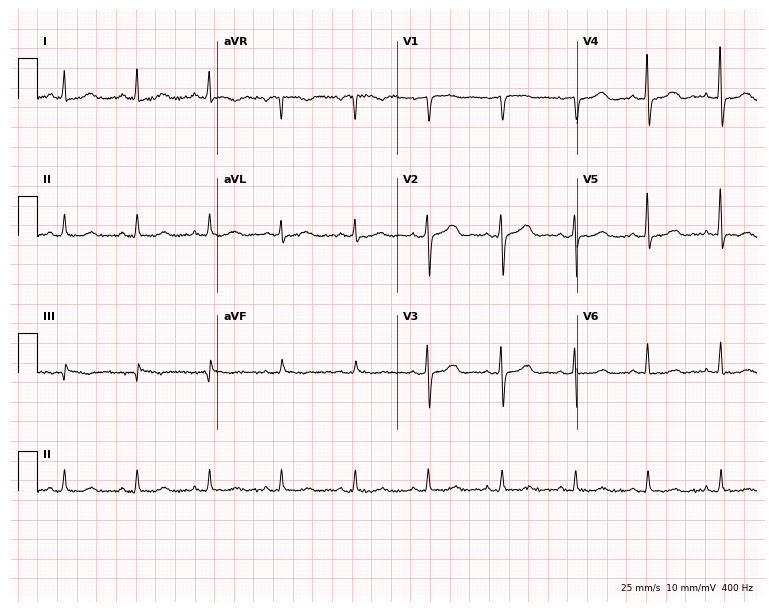
Standard 12-lead ECG recorded from a 69-year-old woman (7.3-second recording at 400 Hz). Read as a normal ECG.